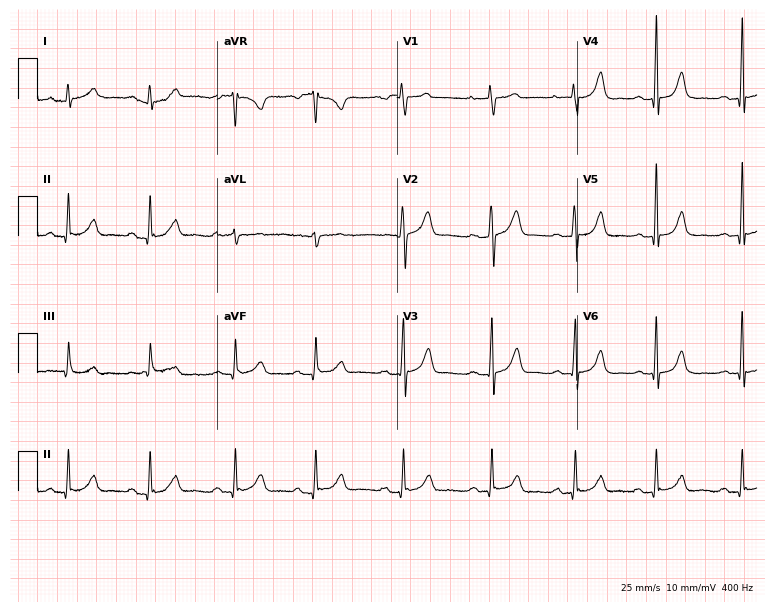
Standard 12-lead ECG recorded from a female patient, 37 years old. Read as a normal ECG.